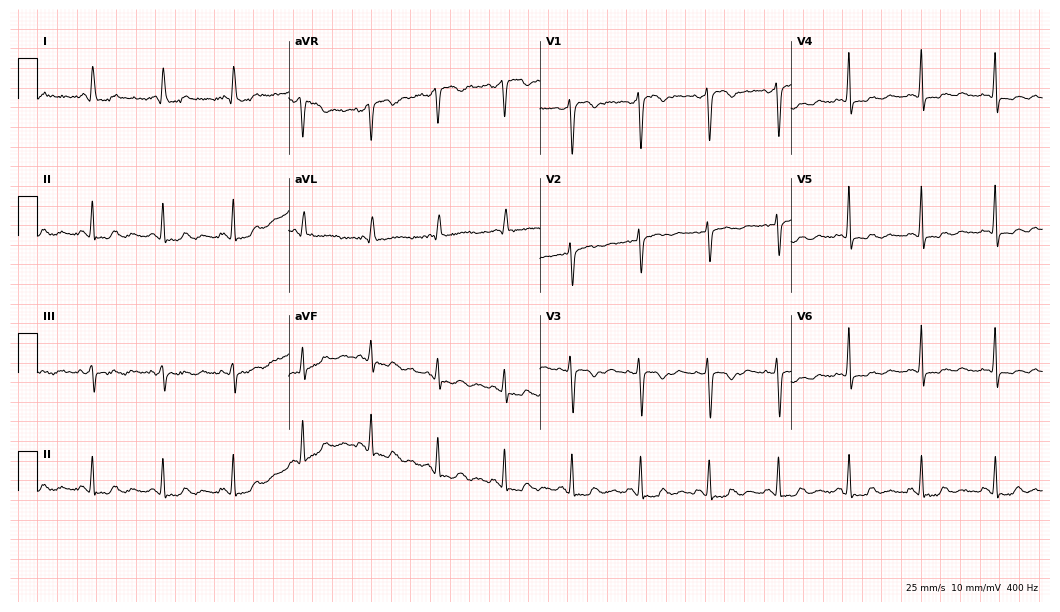
12-lead ECG from a female, 42 years old. No first-degree AV block, right bundle branch block (RBBB), left bundle branch block (LBBB), sinus bradycardia, atrial fibrillation (AF) or sinus tachycardia recorded for this tracing. Only these six findings were labelled.